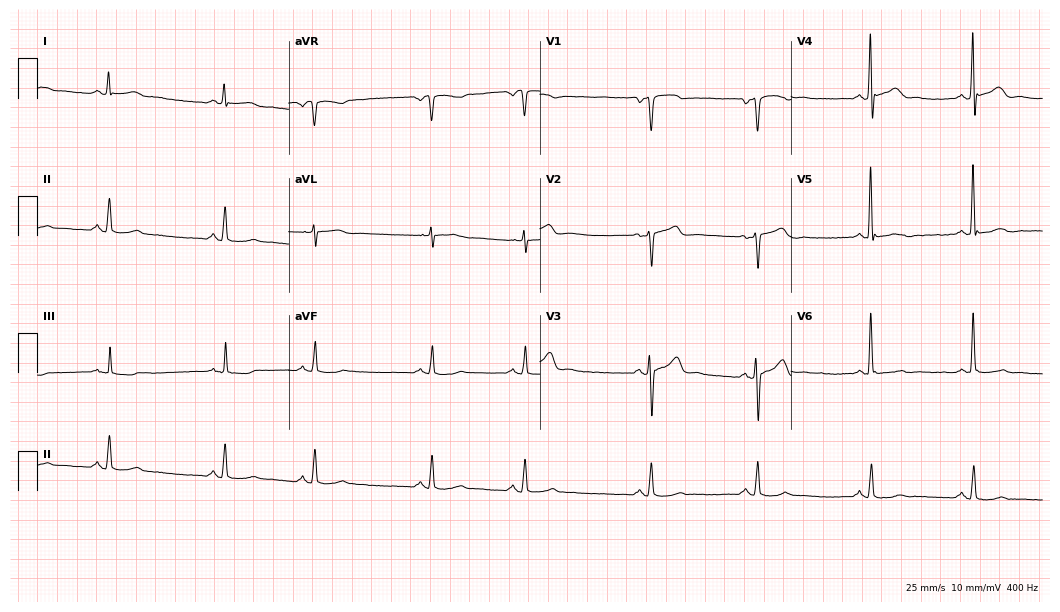
ECG — a 51-year-old male patient. Screened for six findings — first-degree AV block, right bundle branch block (RBBB), left bundle branch block (LBBB), sinus bradycardia, atrial fibrillation (AF), sinus tachycardia — none is recorded.